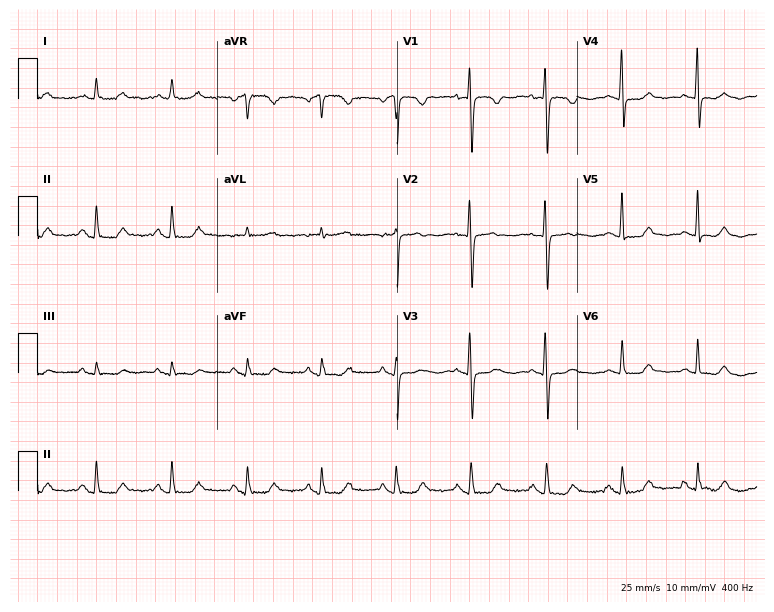
12-lead ECG from a female, 85 years old. Screened for six findings — first-degree AV block, right bundle branch block, left bundle branch block, sinus bradycardia, atrial fibrillation, sinus tachycardia — none is recorded. Findings outside these six are not listed.